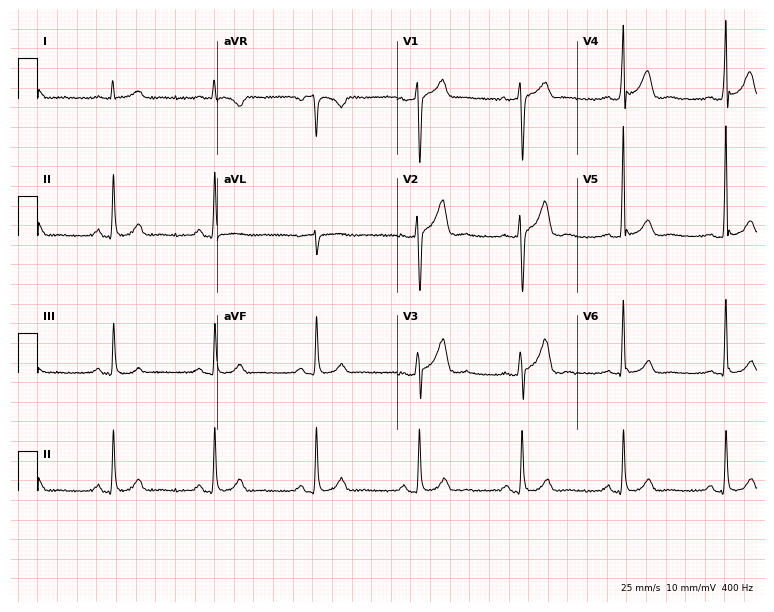
Resting 12-lead electrocardiogram. Patient: a 45-year-old male. None of these six findings is recorded: first-degree AV block, right bundle branch block, left bundle branch block, sinus bradycardia, atrial fibrillation, sinus tachycardia.